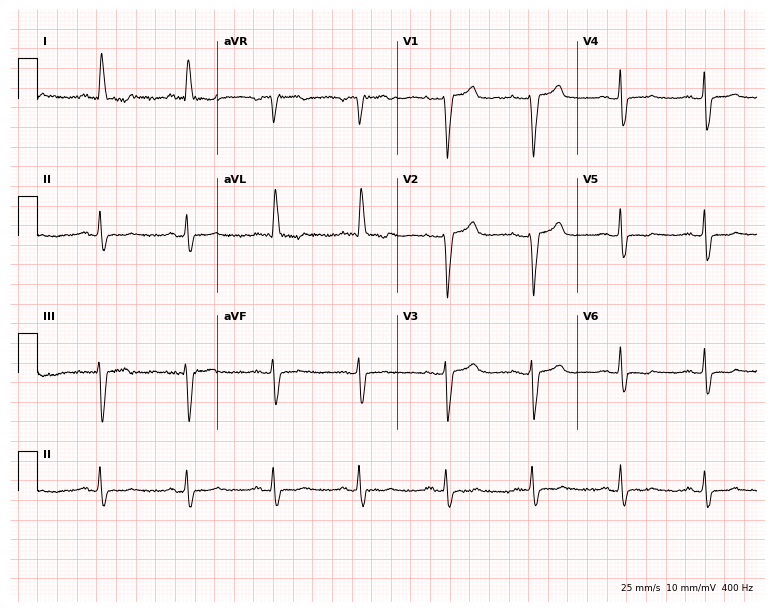
12-lead ECG (7.3-second recording at 400 Hz) from a 66-year-old woman. Screened for six findings — first-degree AV block, right bundle branch block, left bundle branch block, sinus bradycardia, atrial fibrillation, sinus tachycardia — none is recorded. Other findings, if any, are not listed.